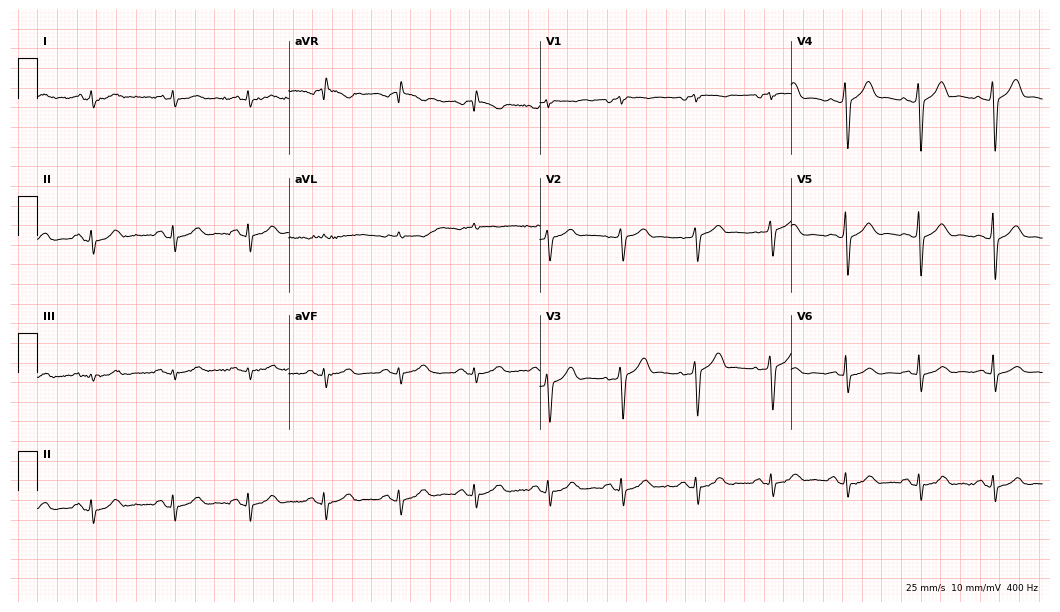
Electrocardiogram, a male patient, 71 years old. Of the six screened findings (first-degree AV block, right bundle branch block, left bundle branch block, sinus bradycardia, atrial fibrillation, sinus tachycardia), none is recorded. Findings outside these six are not listed.